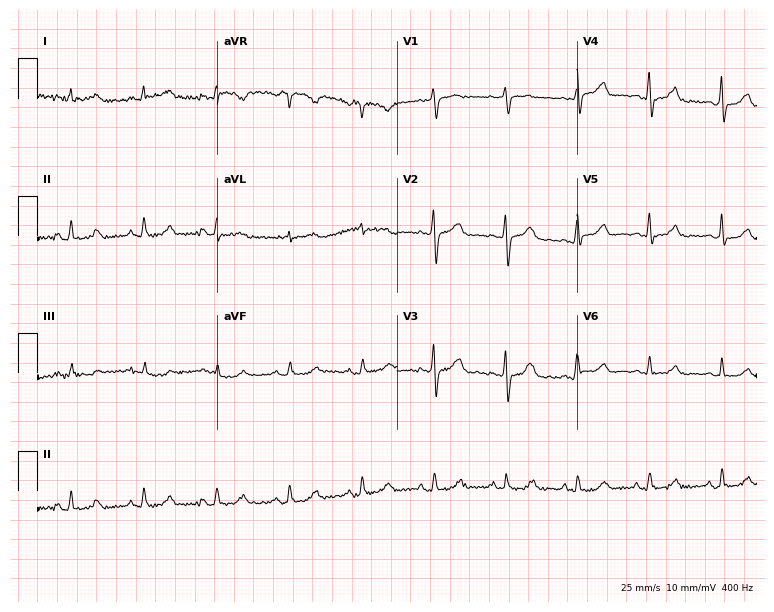
12-lead ECG (7.3-second recording at 400 Hz) from a woman, 54 years old. Screened for six findings — first-degree AV block, right bundle branch block (RBBB), left bundle branch block (LBBB), sinus bradycardia, atrial fibrillation (AF), sinus tachycardia — none is recorded.